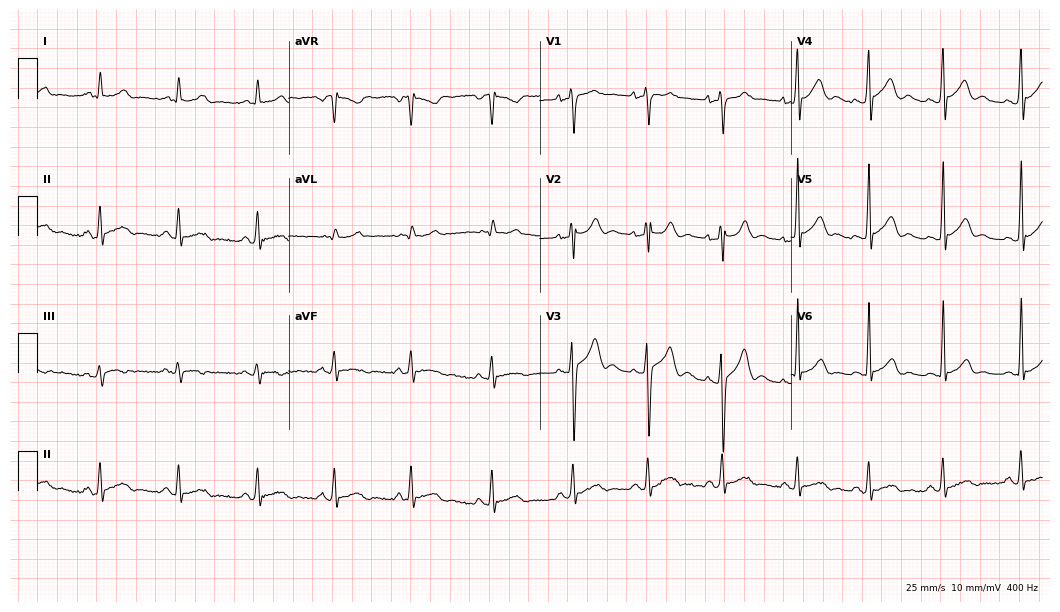
Standard 12-lead ECG recorded from a male, 17 years old. Read as a normal ECG.